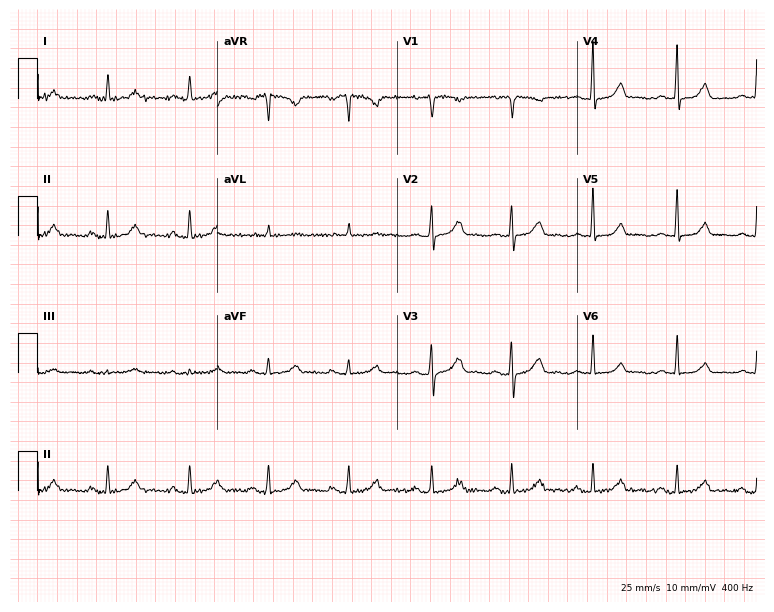
12-lead ECG from a woman, 44 years old. Labelled as a normal ECG.